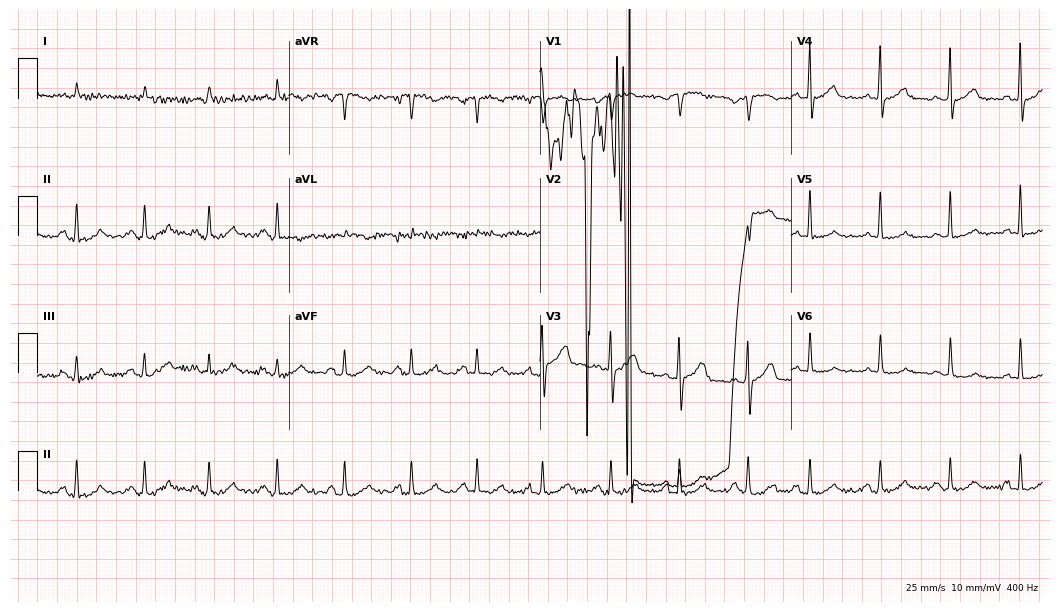
ECG (10.2-second recording at 400 Hz) — an 81-year-old man. Screened for six findings — first-degree AV block, right bundle branch block, left bundle branch block, sinus bradycardia, atrial fibrillation, sinus tachycardia — none is recorded. Findings outside these six are not listed.